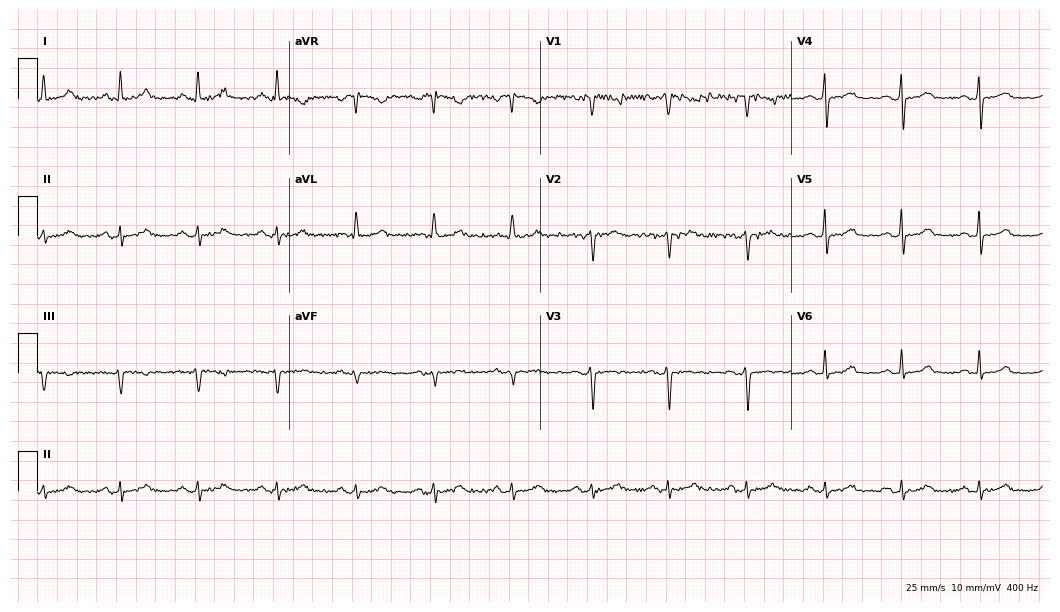
Electrocardiogram, a 46-year-old female patient. Of the six screened findings (first-degree AV block, right bundle branch block (RBBB), left bundle branch block (LBBB), sinus bradycardia, atrial fibrillation (AF), sinus tachycardia), none is recorded. Other findings, if any, are not listed.